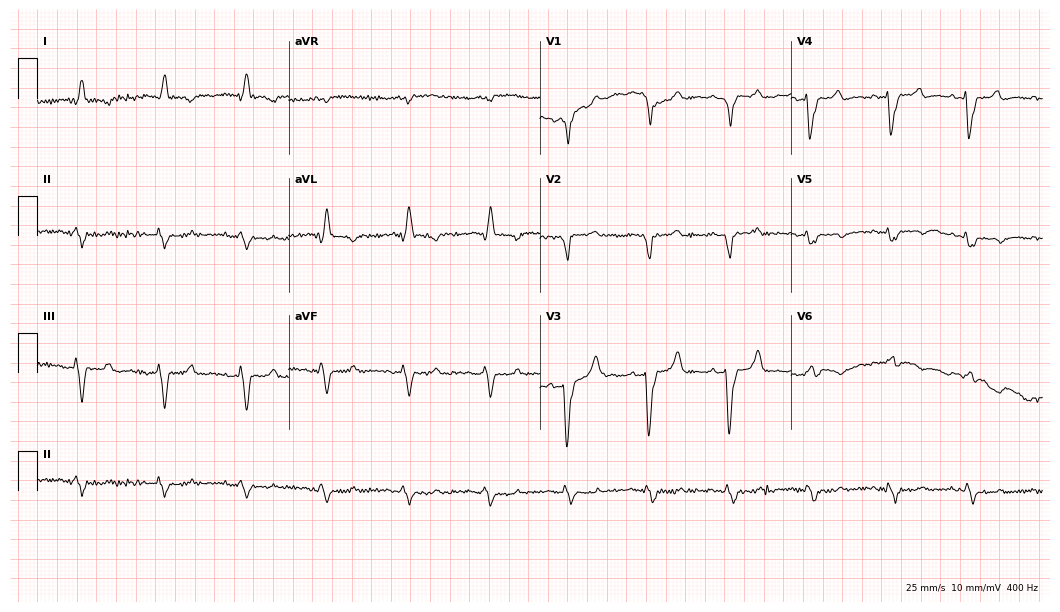
Standard 12-lead ECG recorded from a female patient, 82 years old. None of these six findings is recorded: first-degree AV block, right bundle branch block, left bundle branch block, sinus bradycardia, atrial fibrillation, sinus tachycardia. Other findings, if any, are not listed.